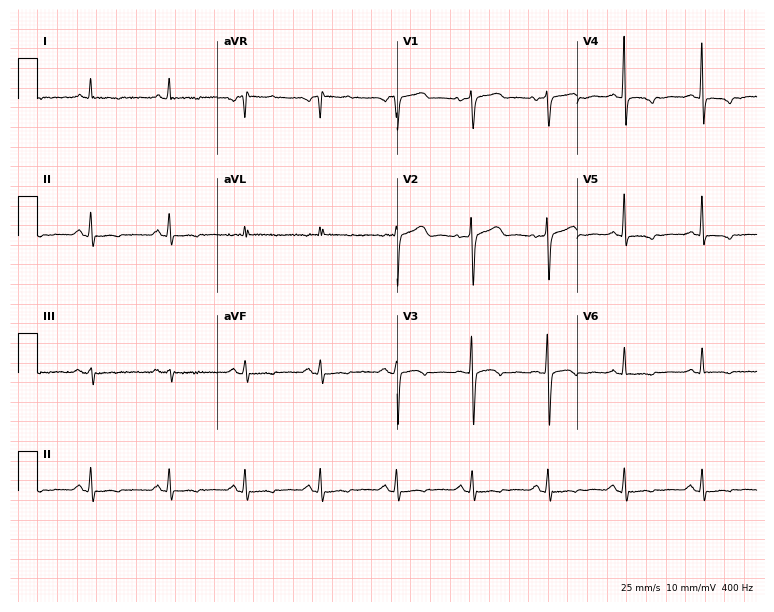
12-lead ECG from a woman, 49 years old. No first-degree AV block, right bundle branch block, left bundle branch block, sinus bradycardia, atrial fibrillation or sinus tachycardia recorded for this tracing. Other findings, if any, are not listed.